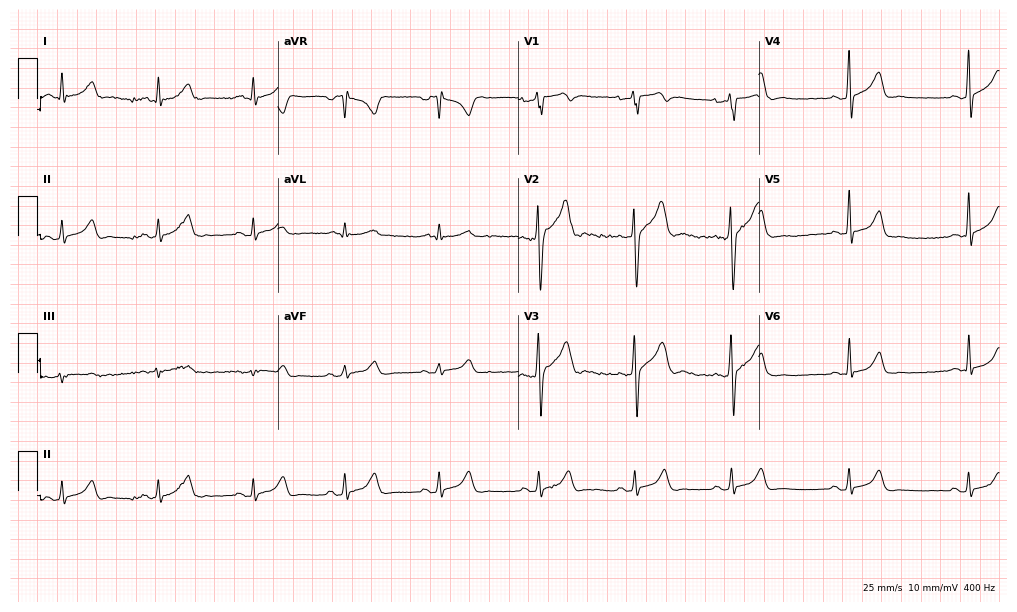
12-lead ECG from a man, 32 years old. Recorded interpretation: within normal limits.